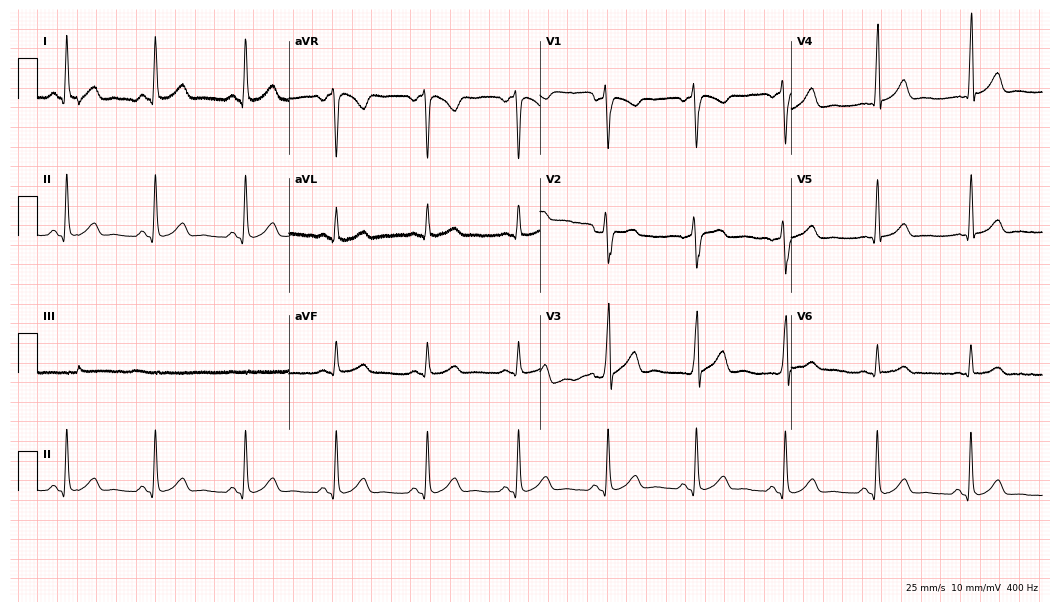
ECG — a male patient, 49 years old. Screened for six findings — first-degree AV block, right bundle branch block, left bundle branch block, sinus bradycardia, atrial fibrillation, sinus tachycardia — none is recorded. Only these six findings were labelled.